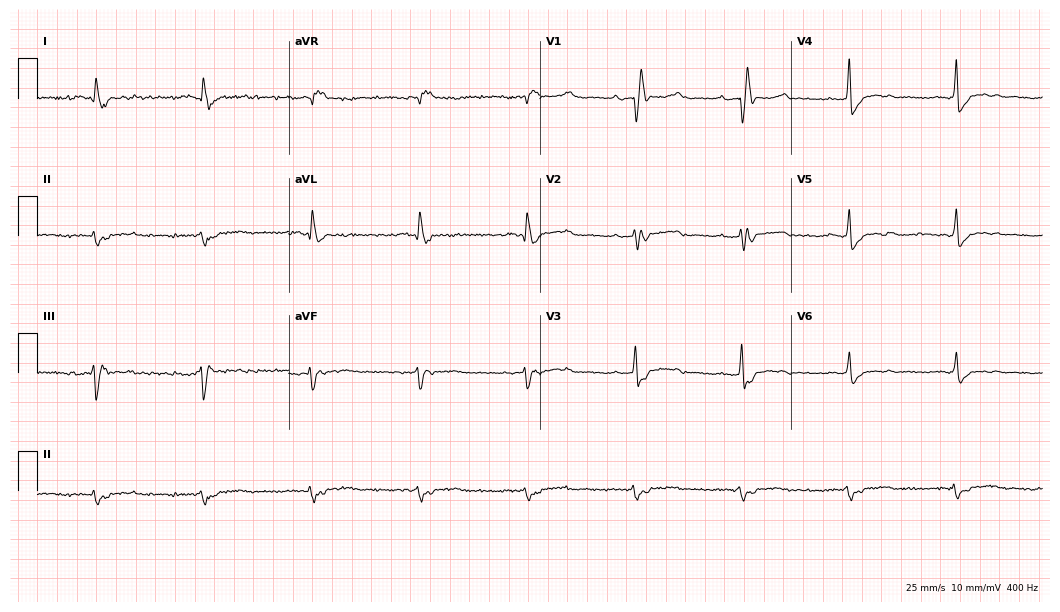
12-lead ECG (10.2-second recording at 400 Hz) from a 53-year-old man. Findings include right bundle branch block.